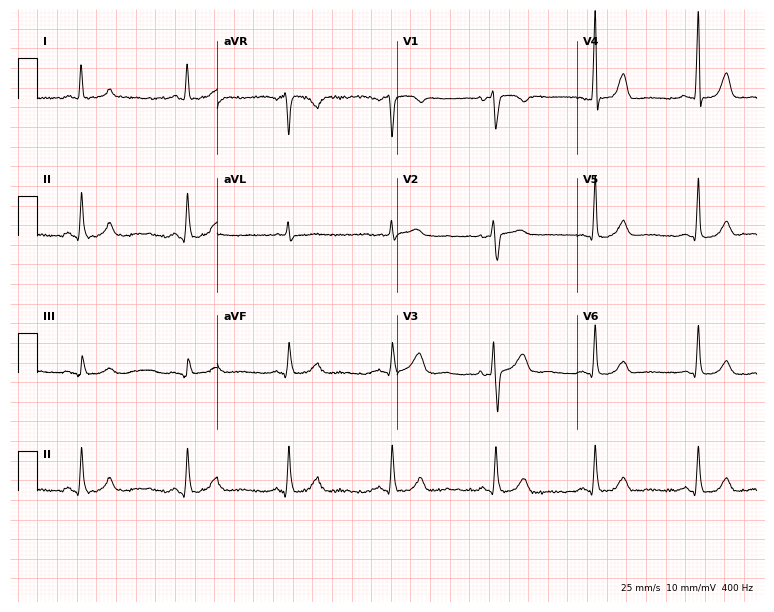
ECG (7.3-second recording at 400 Hz) — a 55-year-old woman. Labelled as a normal ECG.